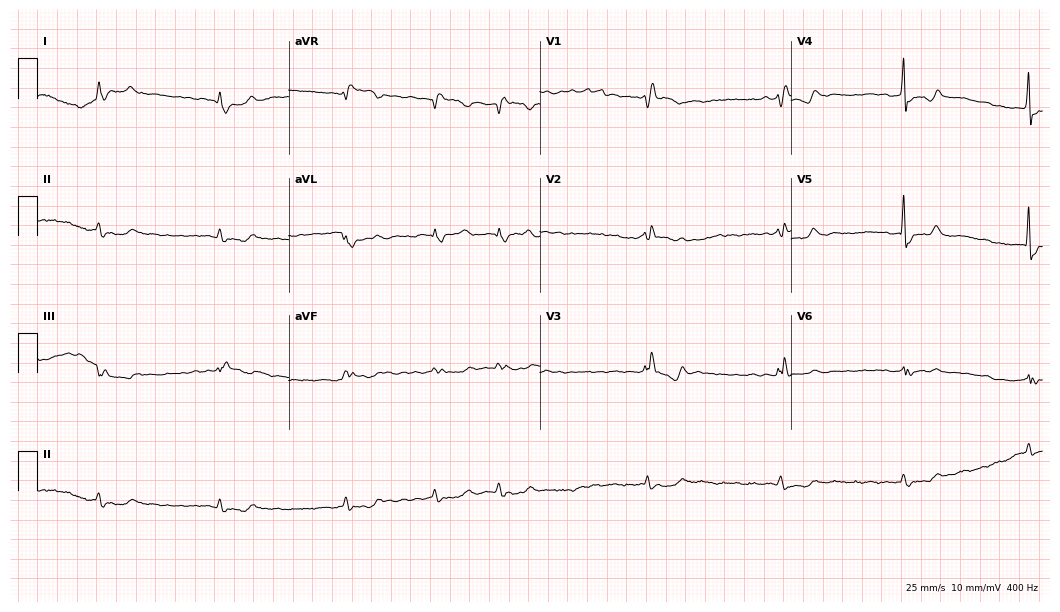
Resting 12-lead electrocardiogram (10.2-second recording at 400 Hz). Patient: a 75-year-old man. The tracing shows right bundle branch block, atrial fibrillation.